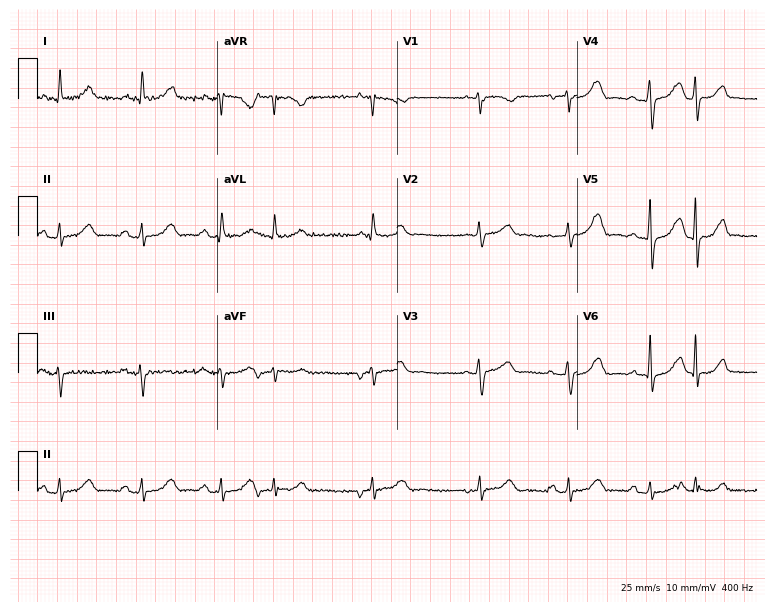
Standard 12-lead ECG recorded from a woman, 73 years old (7.3-second recording at 400 Hz). Read as a normal ECG.